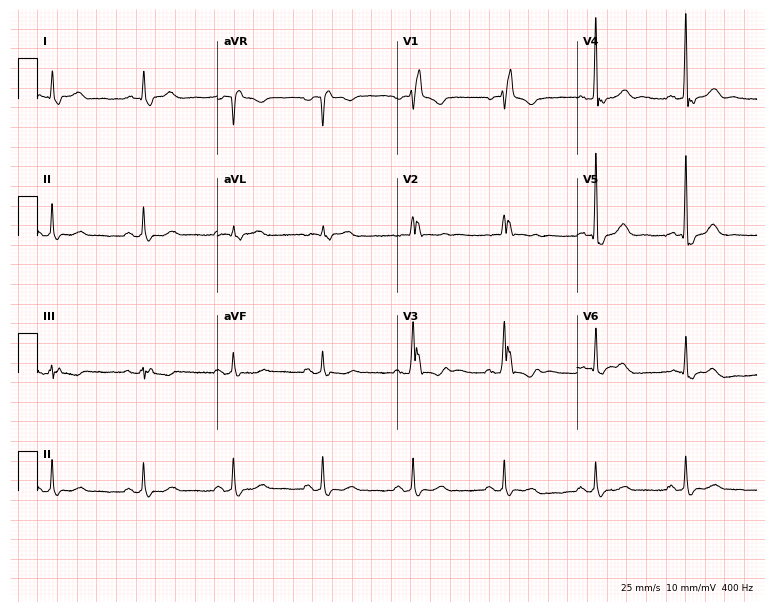
ECG — a man, 85 years old. Findings include right bundle branch block.